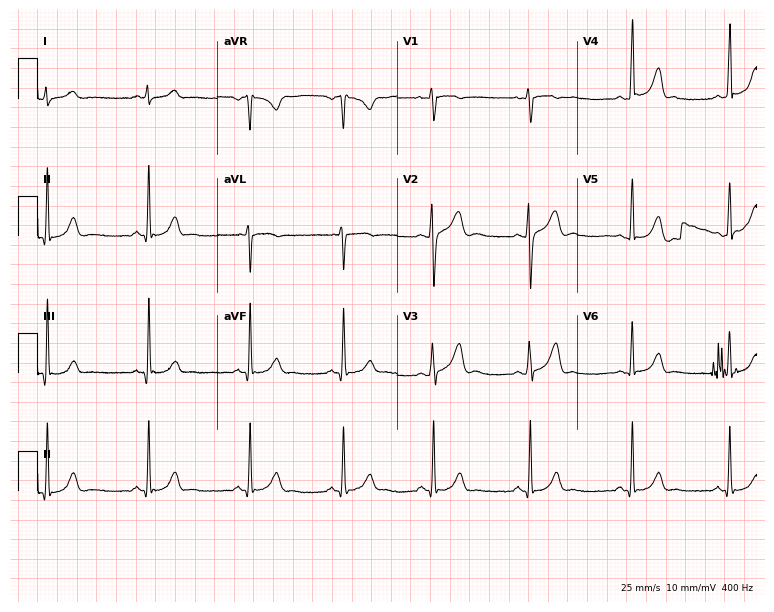
Standard 12-lead ECG recorded from a 25-year-old female patient. None of these six findings is recorded: first-degree AV block, right bundle branch block, left bundle branch block, sinus bradycardia, atrial fibrillation, sinus tachycardia.